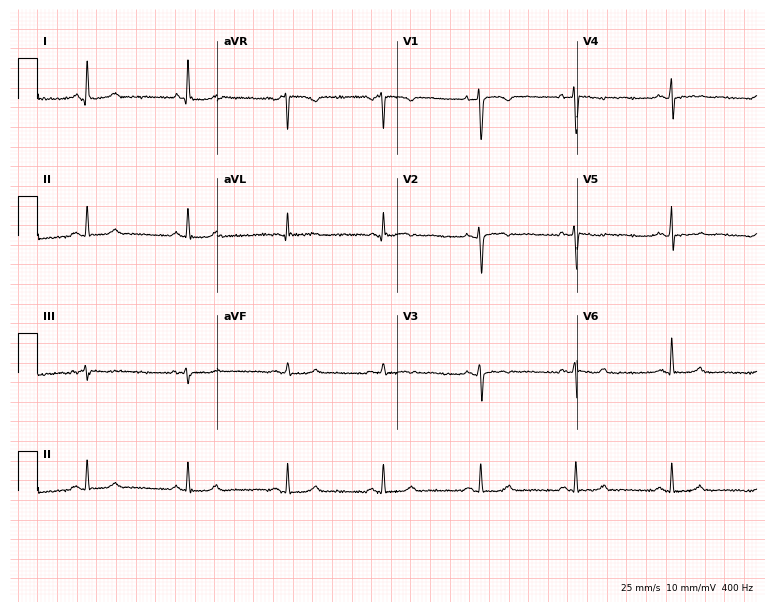
ECG — a female, 41 years old. Labelled as a normal ECG.